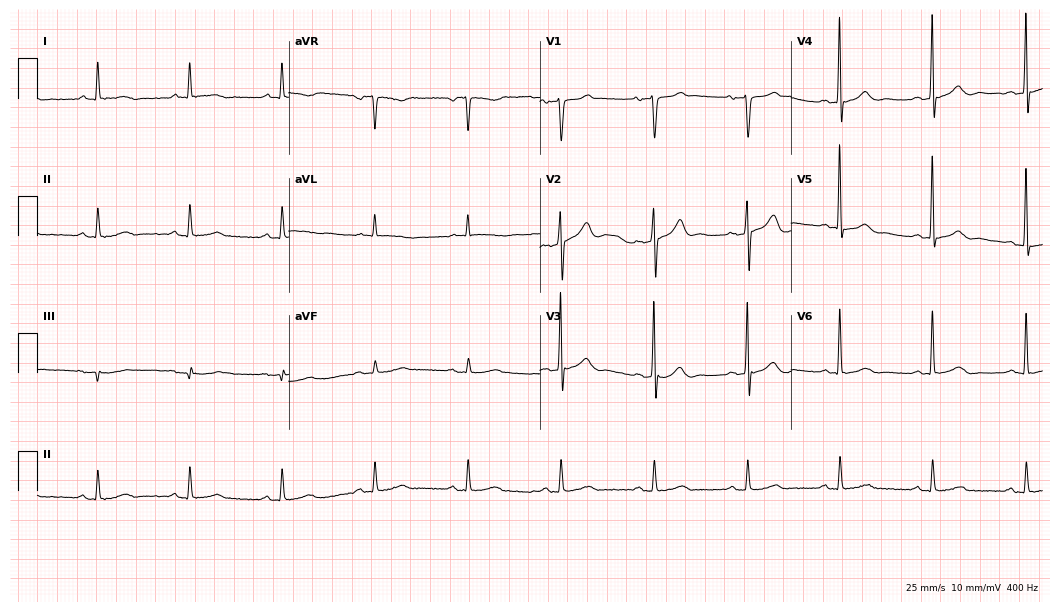
12-lead ECG from a male patient, 69 years old (10.2-second recording at 400 Hz). No first-degree AV block, right bundle branch block, left bundle branch block, sinus bradycardia, atrial fibrillation or sinus tachycardia recorded for this tracing.